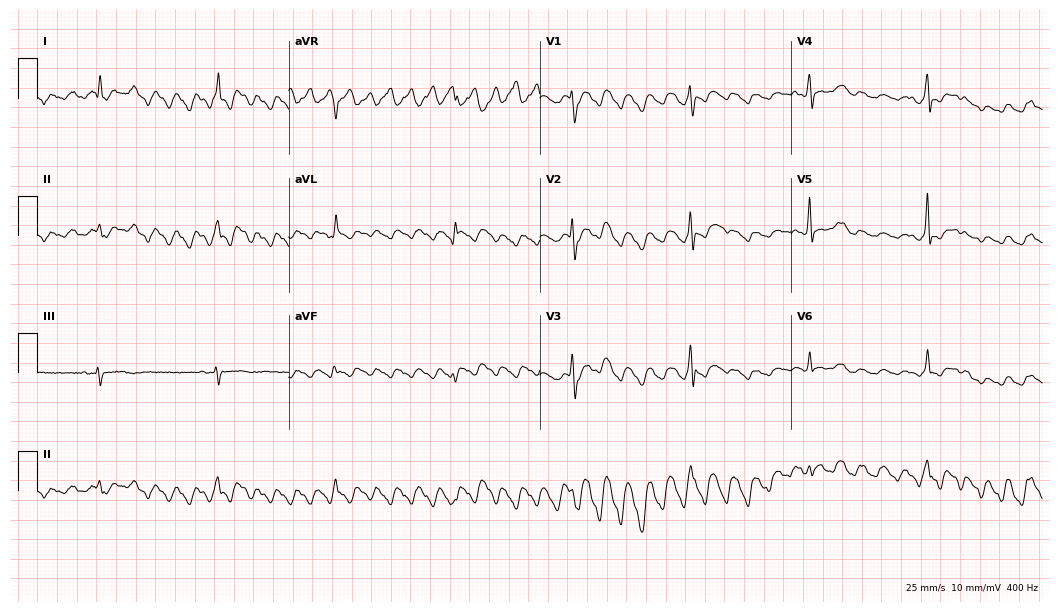
12-lead ECG from a 75-year-old man. Recorded interpretation: within normal limits.